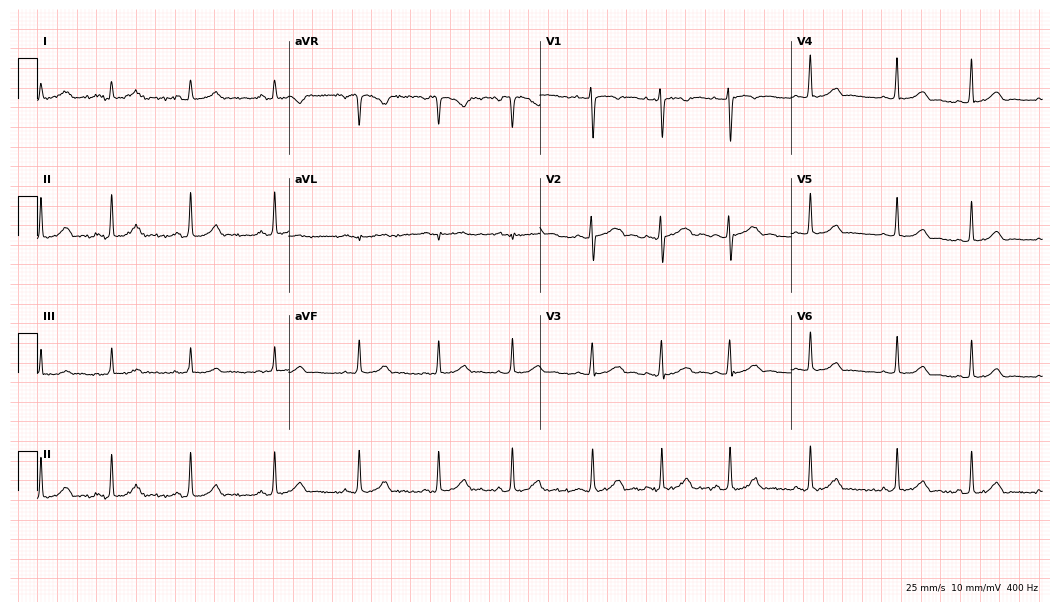
12-lead ECG from a female, 18 years old. Recorded interpretation: within normal limits.